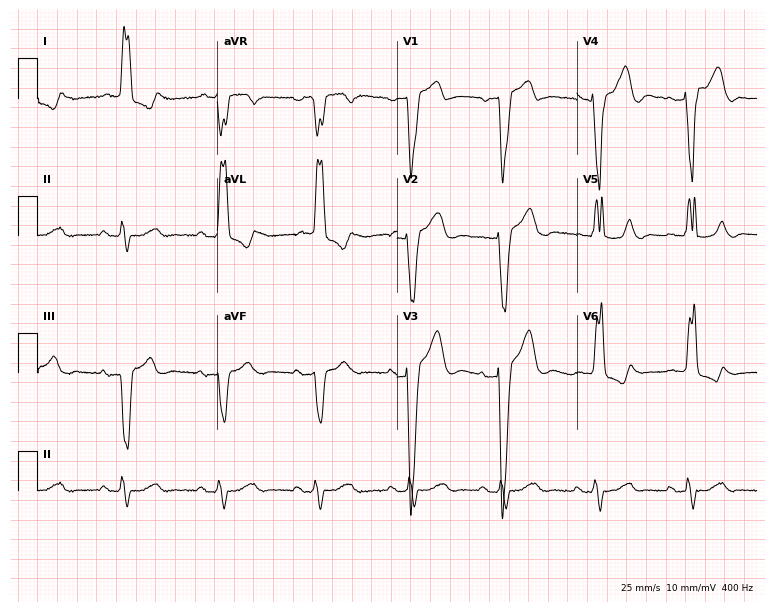
12-lead ECG (7.3-second recording at 400 Hz) from an 82-year-old female. Findings include left bundle branch block.